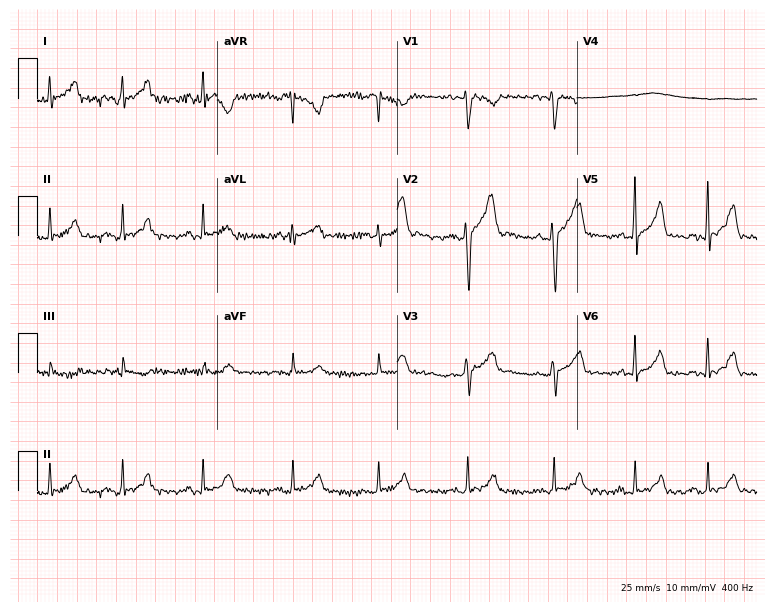
Electrocardiogram, a 35-year-old male patient. Of the six screened findings (first-degree AV block, right bundle branch block, left bundle branch block, sinus bradycardia, atrial fibrillation, sinus tachycardia), none is recorded.